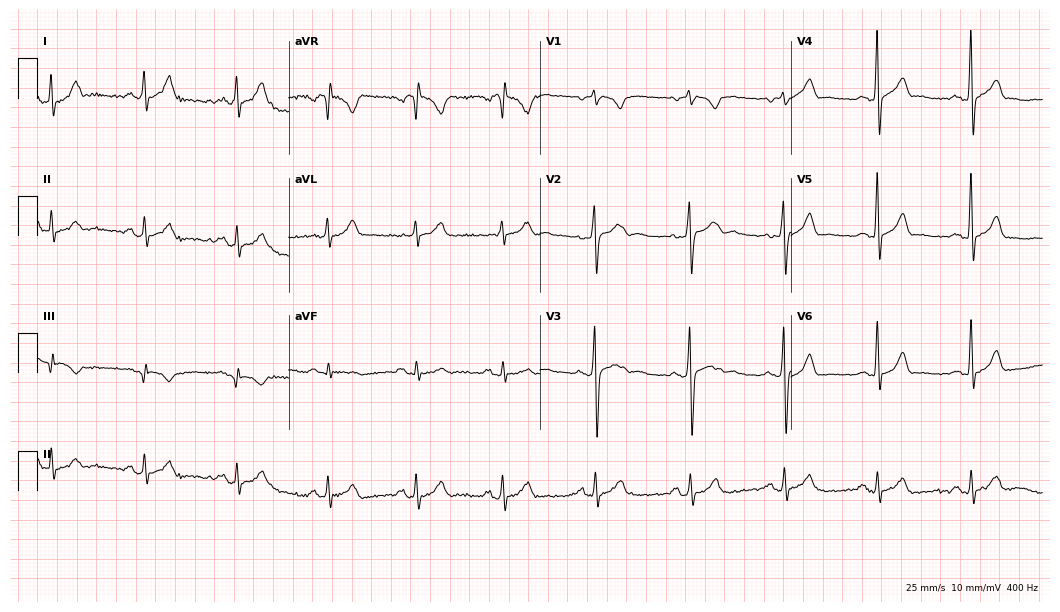
ECG — a man, 34 years old. Screened for six findings — first-degree AV block, right bundle branch block (RBBB), left bundle branch block (LBBB), sinus bradycardia, atrial fibrillation (AF), sinus tachycardia — none is recorded. Other findings, if any, are not listed.